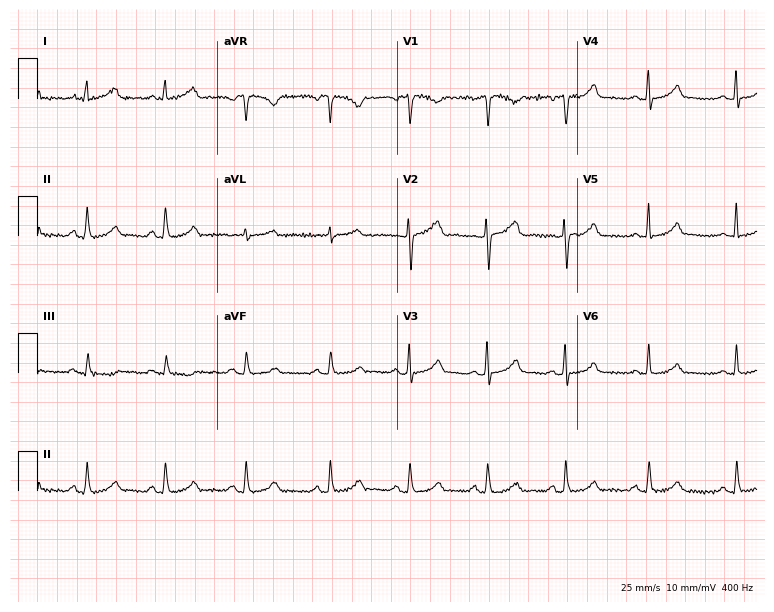
12-lead ECG from a 39-year-old female patient. Labelled as a normal ECG.